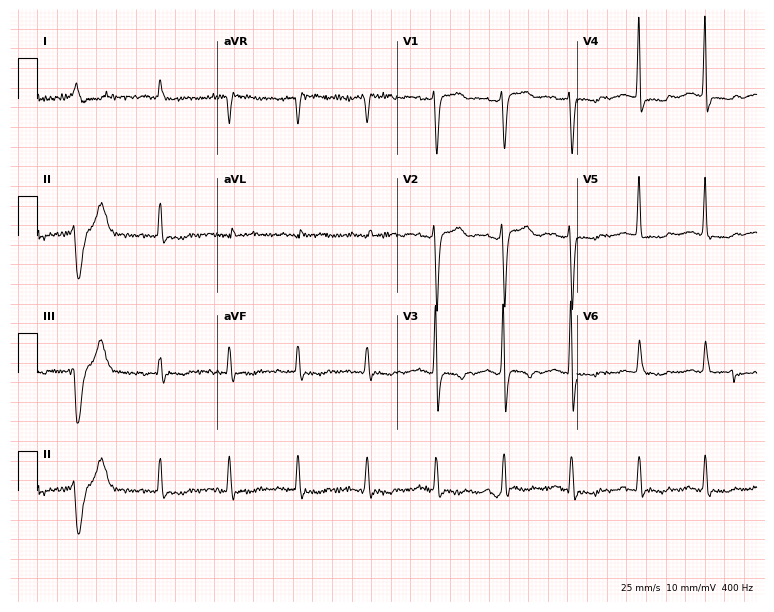
12-lead ECG from a 71-year-old female. Findings include atrial fibrillation (AF).